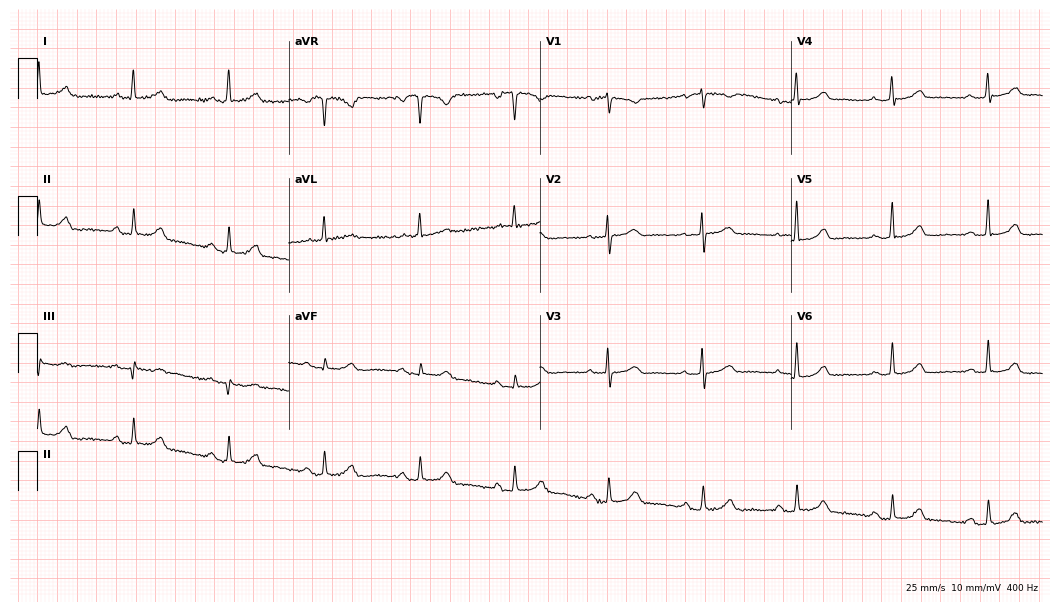
12-lead ECG from a woman, 65 years old. Recorded interpretation: within normal limits.